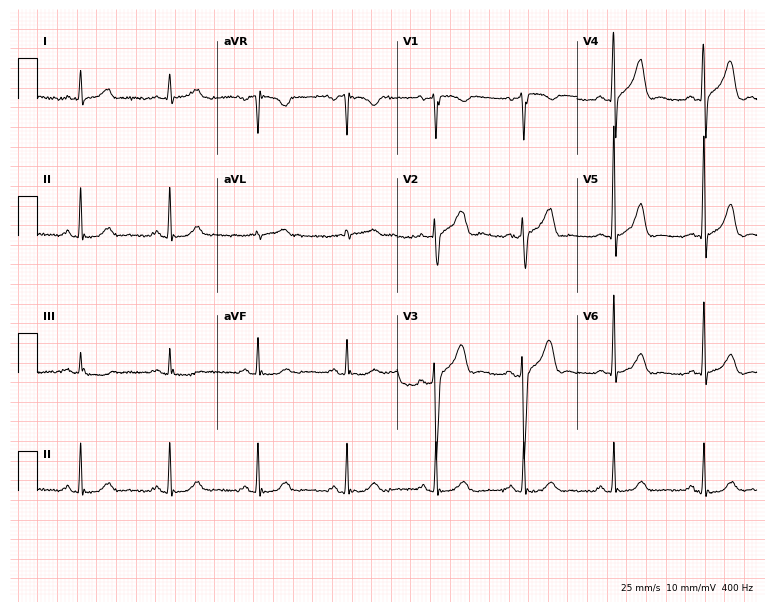
ECG (7.3-second recording at 400 Hz) — a male patient, 66 years old. Labelled as a normal ECG.